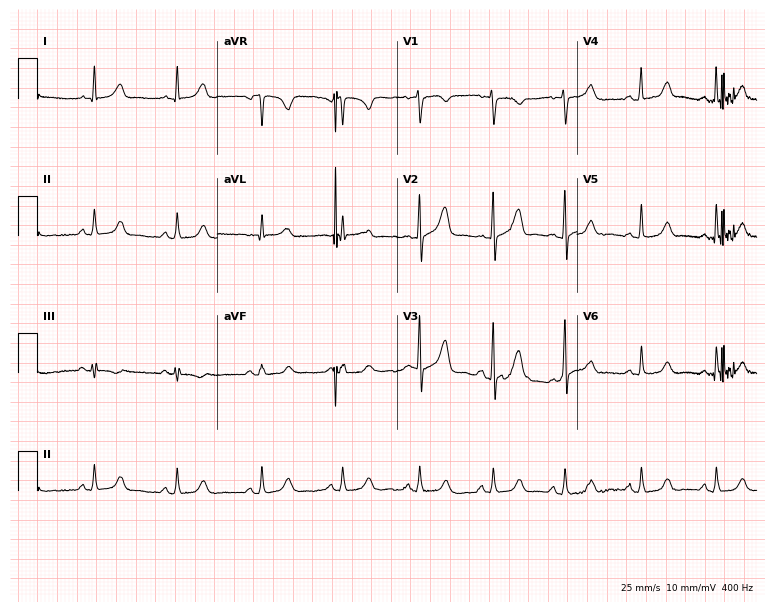
ECG — a woman, 29 years old. Labelled as a normal ECG.